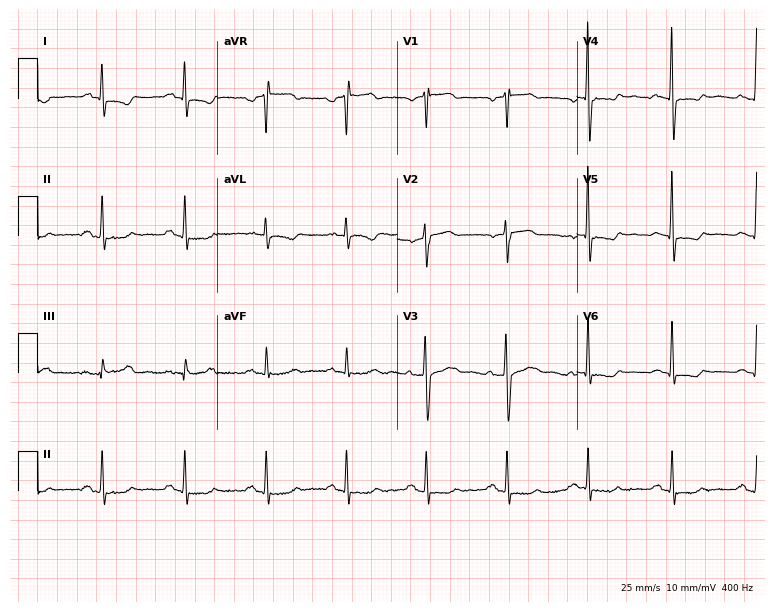
Standard 12-lead ECG recorded from a 55-year-old female patient. None of these six findings is recorded: first-degree AV block, right bundle branch block, left bundle branch block, sinus bradycardia, atrial fibrillation, sinus tachycardia.